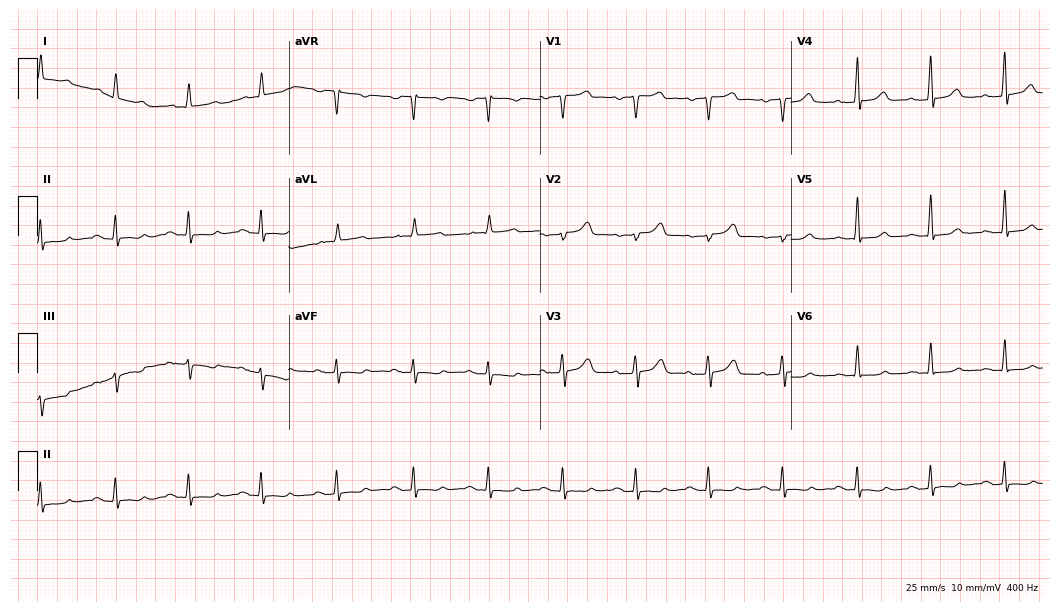
Electrocardiogram, a 62-year-old man. Overall reading on record: normal ECG.